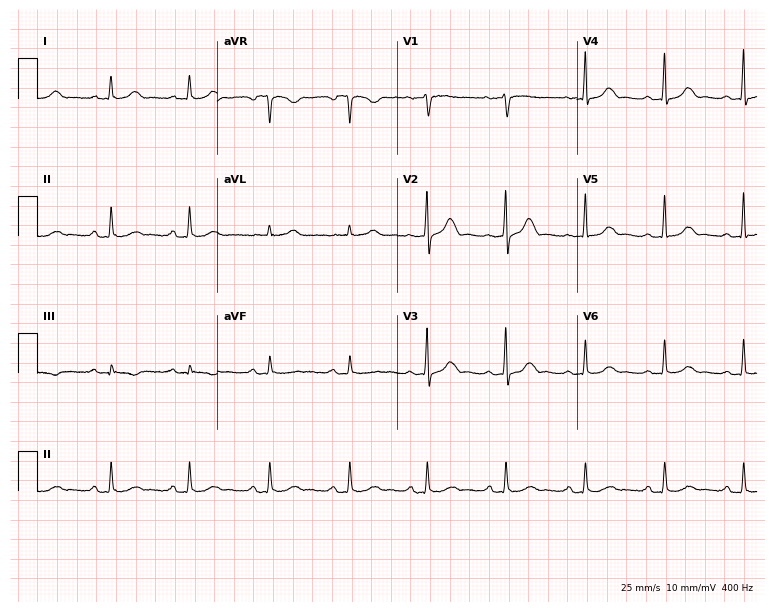
Resting 12-lead electrocardiogram (7.3-second recording at 400 Hz). Patient: a 72-year-old woman. Read as a normal ECG.